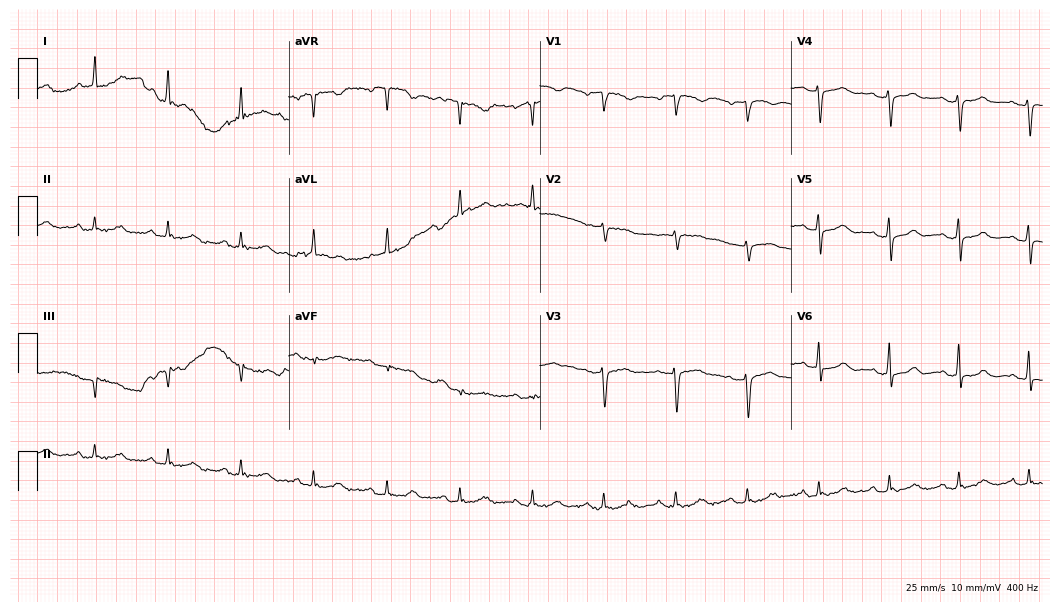
12-lead ECG (10.2-second recording at 400 Hz) from a female, 73 years old. Labelled as a normal ECG.